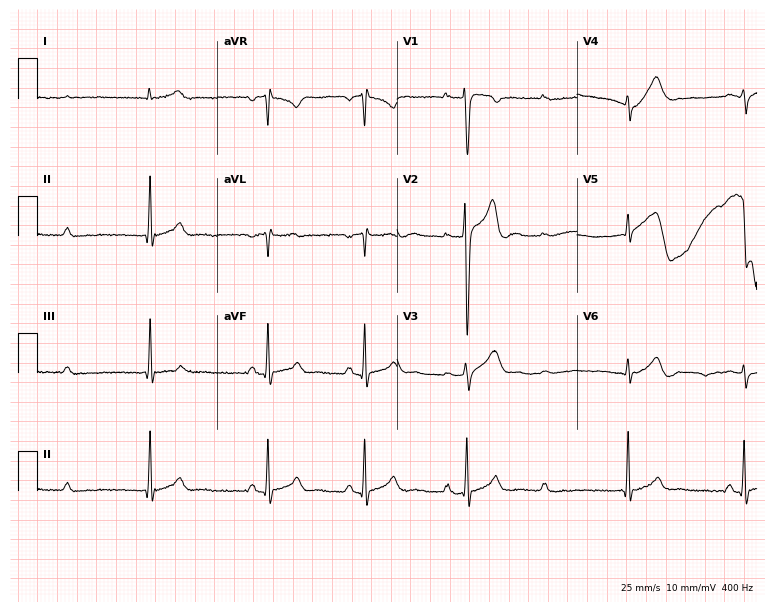
12-lead ECG from a female patient, 18 years old. Labelled as a normal ECG.